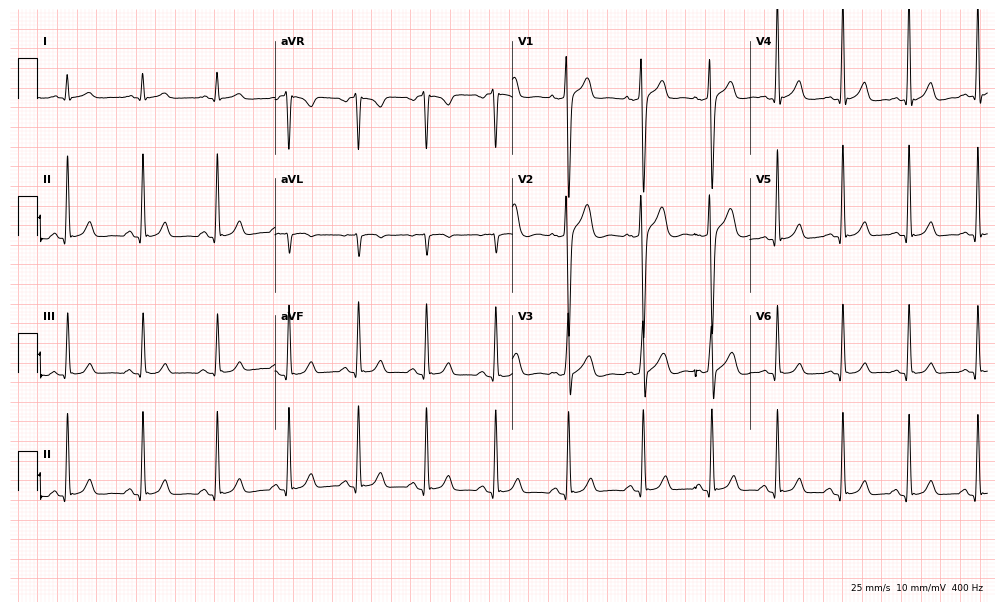
12-lead ECG from a 31-year-old male. Screened for six findings — first-degree AV block, right bundle branch block (RBBB), left bundle branch block (LBBB), sinus bradycardia, atrial fibrillation (AF), sinus tachycardia — none is recorded. Only these six findings were labelled.